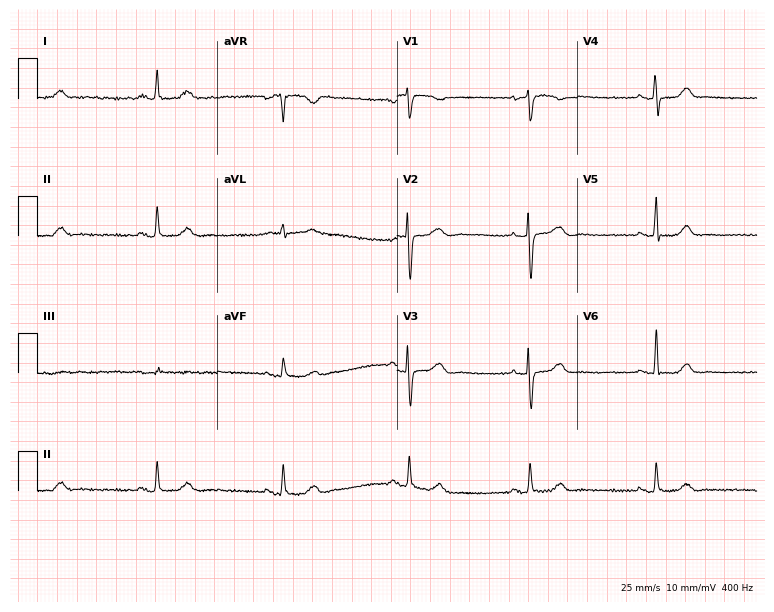
Resting 12-lead electrocardiogram (7.3-second recording at 400 Hz). Patient: a woman, 72 years old. The tracing shows sinus bradycardia (a sinus rate of 50 beats per minute or less).